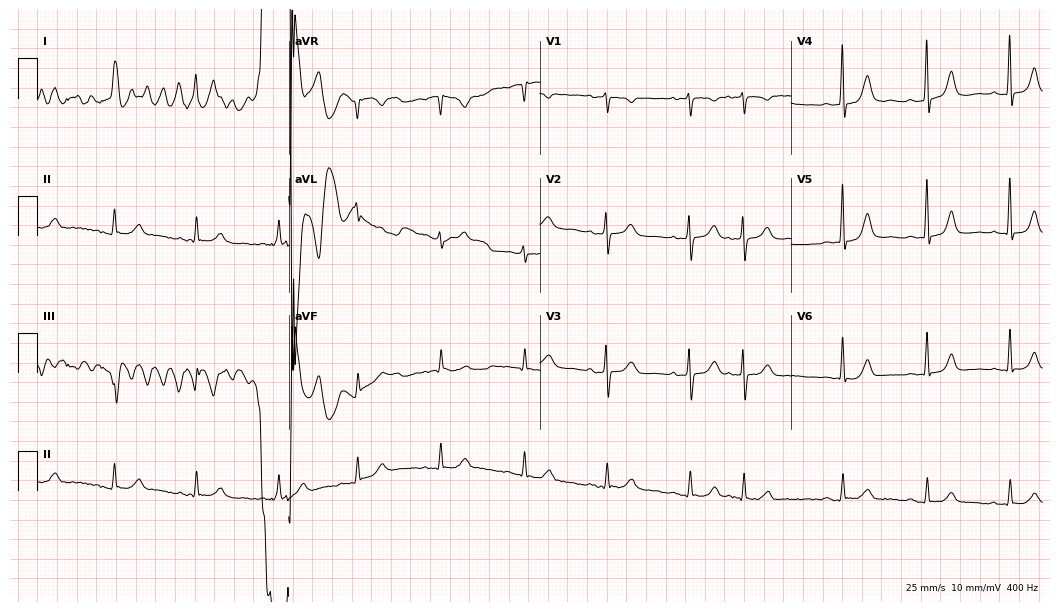
ECG (10.2-second recording at 400 Hz) — an 84-year-old man. Screened for six findings — first-degree AV block, right bundle branch block, left bundle branch block, sinus bradycardia, atrial fibrillation, sinus tachycardia — none is recorded.